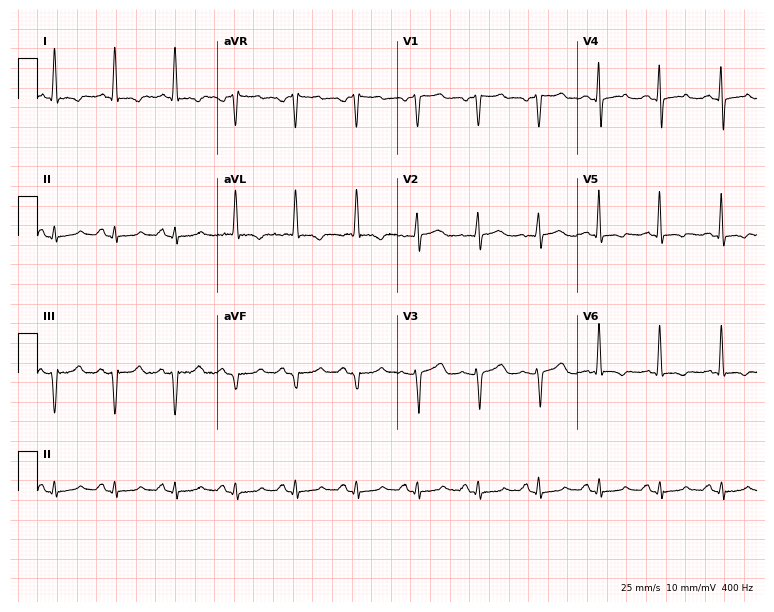
Standard 12-lead ECG recorded from a woman, 63 years old. None of these six findings is recorded: first-degree AV block, right bundle branch block, left bundle branch block, sinus bradycardia, atrial fibrillation, sinus tachycardia.